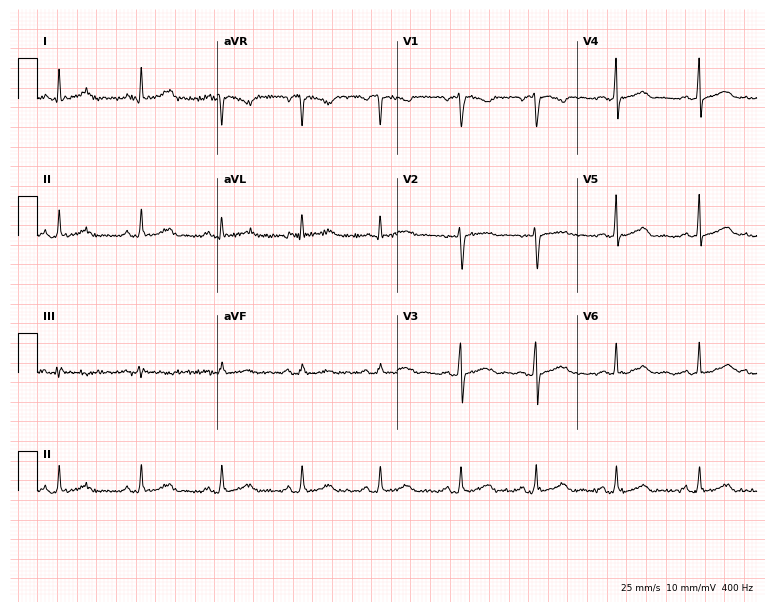
12-lead ECG from a female patient, 31 years old (7.3-second recording at 400 Hz). Recorded interpretation: within normal limits.